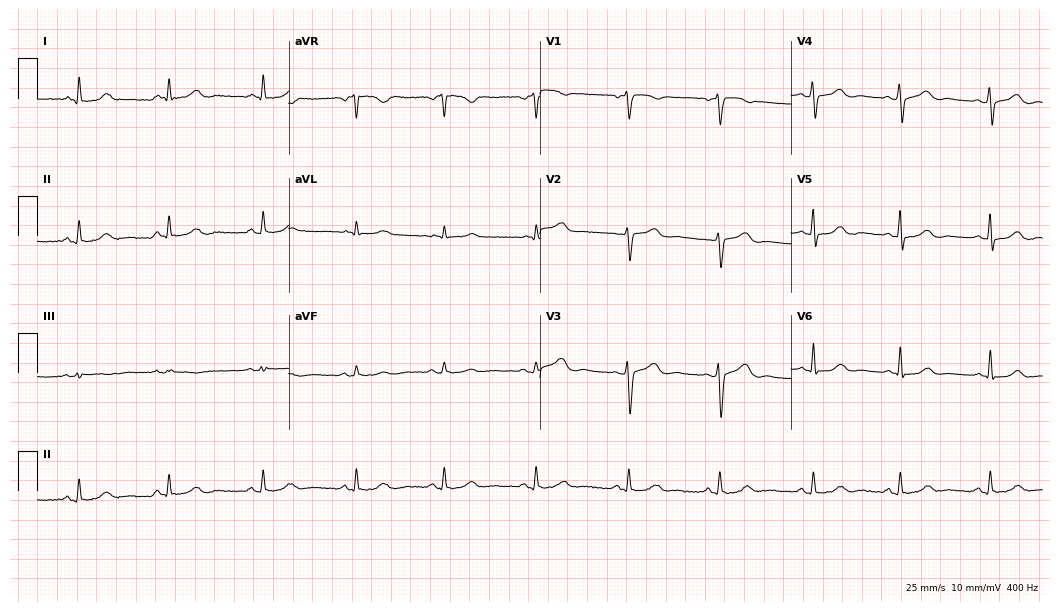
12-lead ECG from a 41-year-old female (10.2-second recording at 400 Hz). Recorded interpretation: within normal limits.